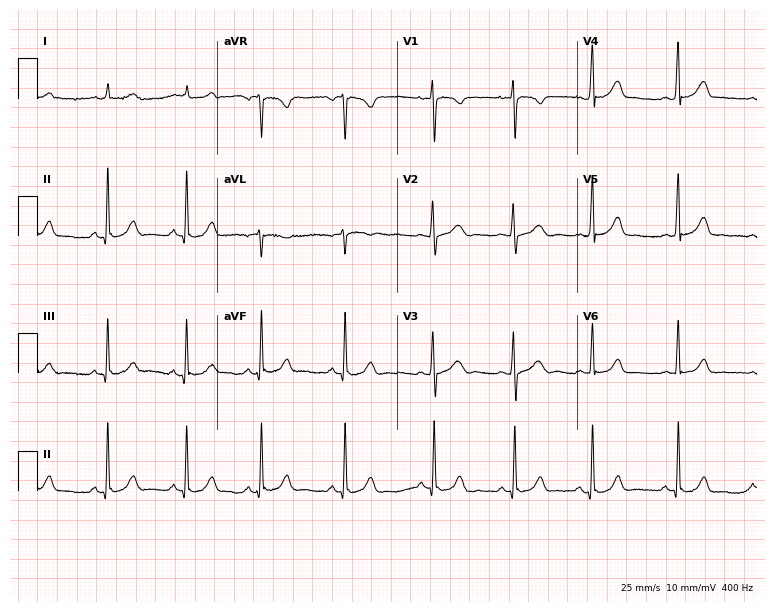
ECG (7.3-second recording at 400 Hz) — a woman, 21 years old. Labelled as a normal ECG.